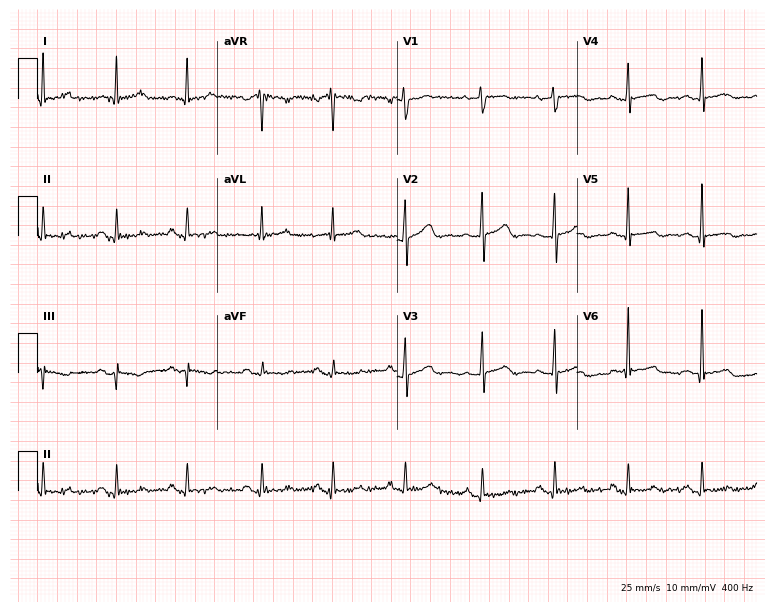
12-lead ECG from a female, 58 years old (7.3-second recording at 400 Hz). Recorded interpretation: within normal limits.